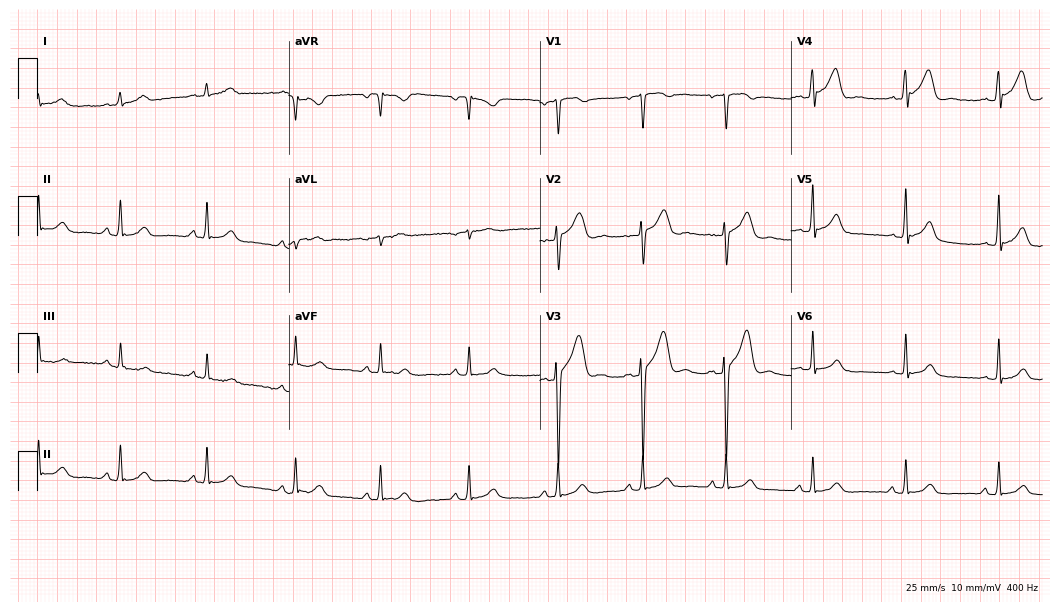
12-lead ECG from a 28-year-old male patient (10.2-second recording at 400 Hz). Recorded interpretation: within normal limits.